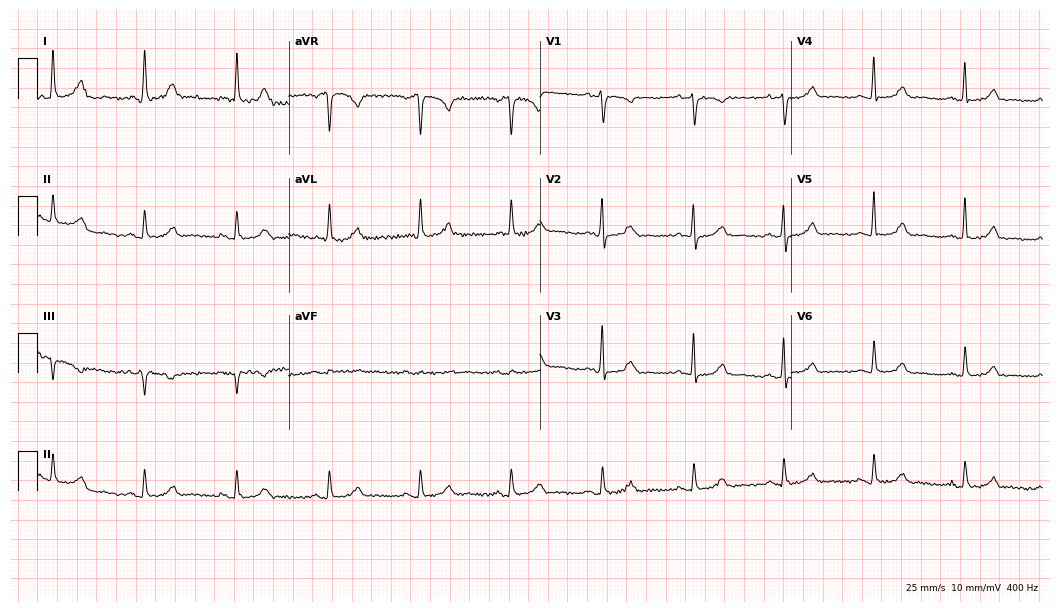
12-lead ECG from a woman, 67 years old (10.2-second recording at 400 Hz). No first-degree AV block, right bundle branch block, left bundle branch block, sinus bradycardia, atrial fibrillation or sinus tachycardia recorded for this tracing.